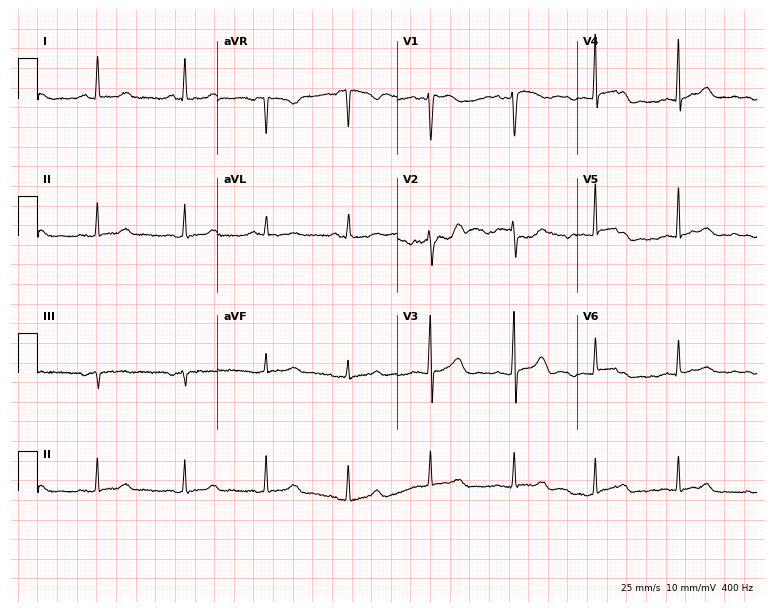
ECG — a female, 55 years old. Screened for six findings — first-degree AV block, right bundle branch block, left bundle branch block, sinus bradycardia, atrial fibrillation, sinus tachycardia — none is recorded. Findings outside these six are not listed.